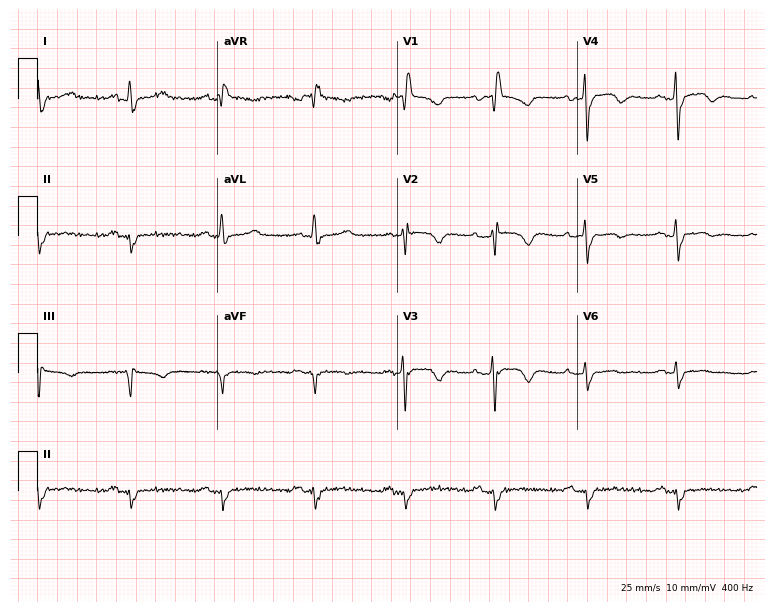
Electrocardiogram (7.3-second recording at 400 Hz), a 49-year-old female patient. Interpretation includes right bundle branch block (RBBB).